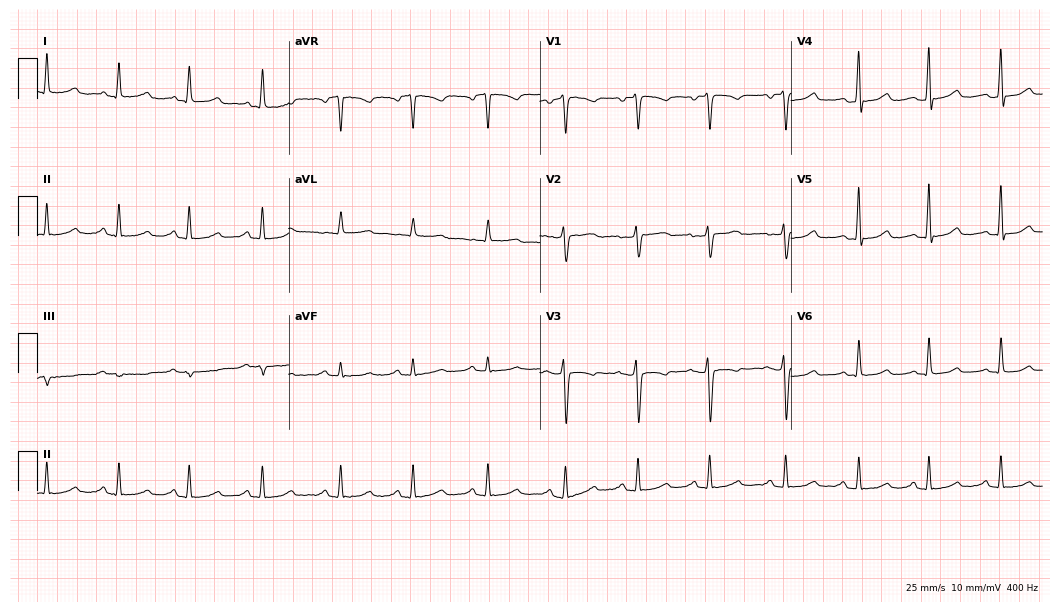
ECG — a woman, 45 years old. Screened for six findings — first-degree AV block, right bundle branch block, left bundle branch block, sinus bradycardia, atrial fibrillation, sinus tachycardia — none is recorded. Other findings, if any, are not listed.